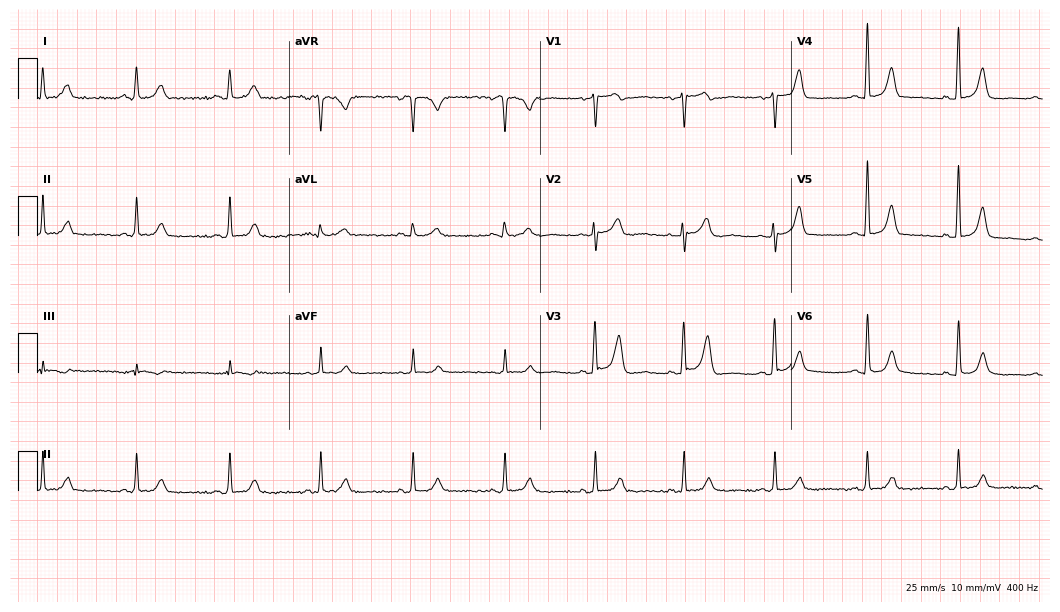
ECG — a 61-year-old female. Screened for six findings — first-degree AV block, right bundle branch block, left bundle branch block, sinus bradycardia, atrial fibrillation, sinus tachycardia — none is recorded. Only these six findings were labelled.